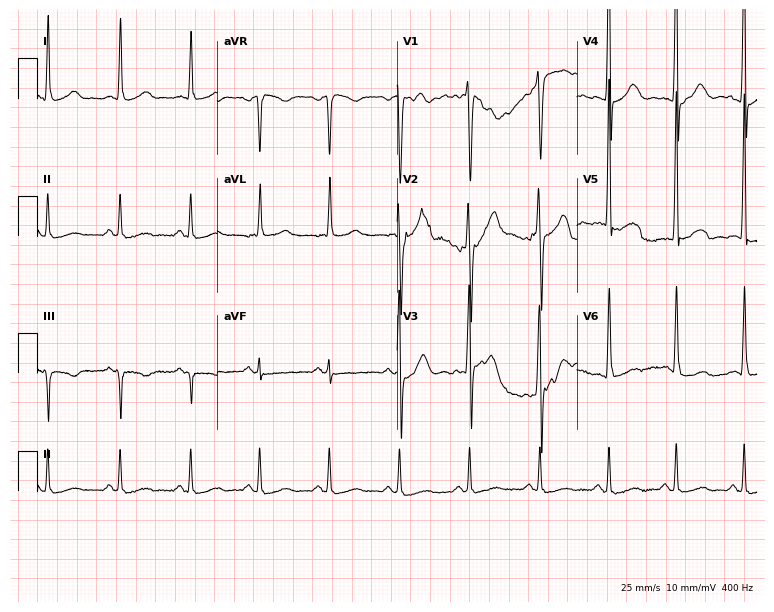
Resting 12-lead electrocardiogram (7.3-second recording at 400 Hz). Patient: a male, 51 years old. None of these six findings is recorded: first-degree AV block, right bundle branch block (RBBB), left bundle branch block (LBBB), sinus bradycardia, atrial fibrillation (AF), sinus tachycardia.